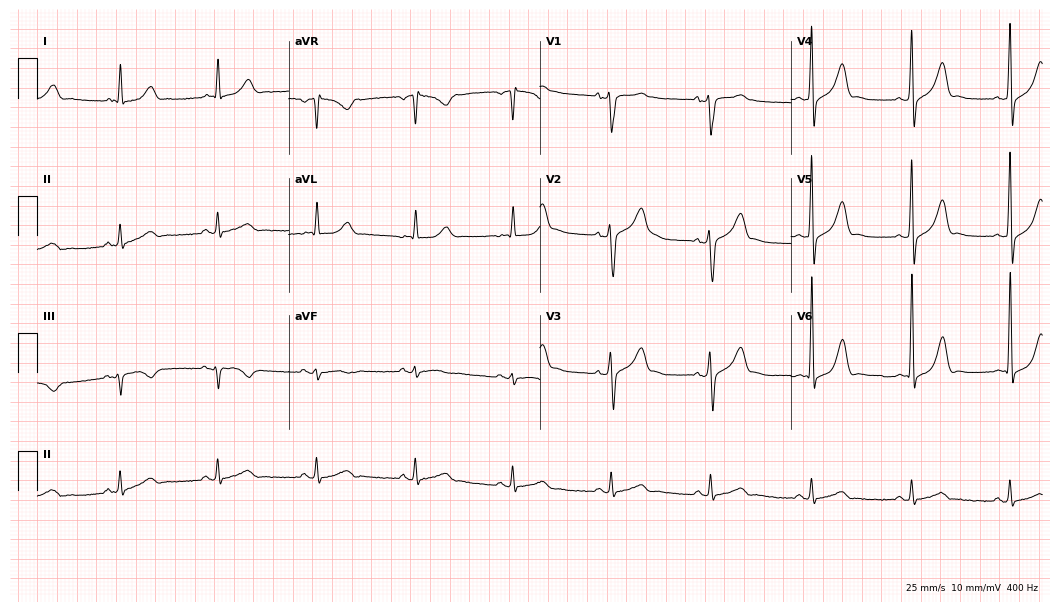
12-lead ECG from a 67-year-old male. Recorded interpretation: within normal limits.